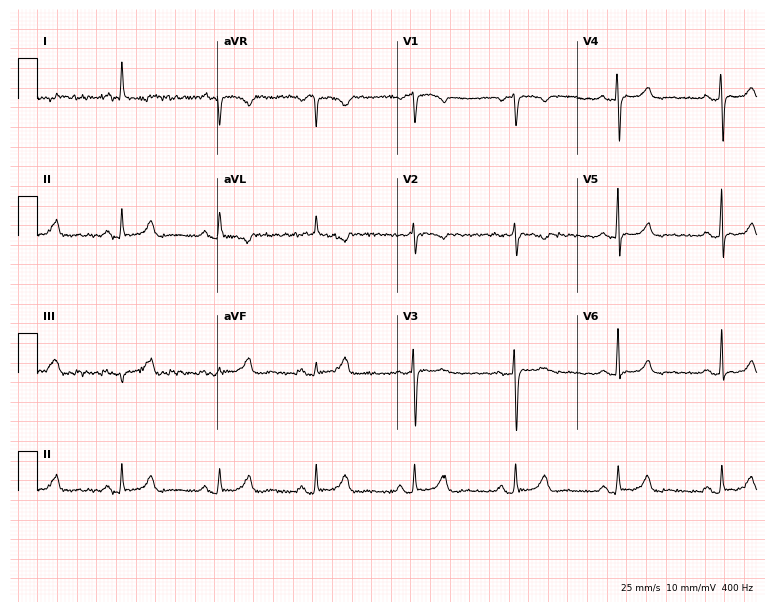
ECG (7.3-second recording at 400 Hz) — an 82-year-old female. Labelled as a normal ECG.